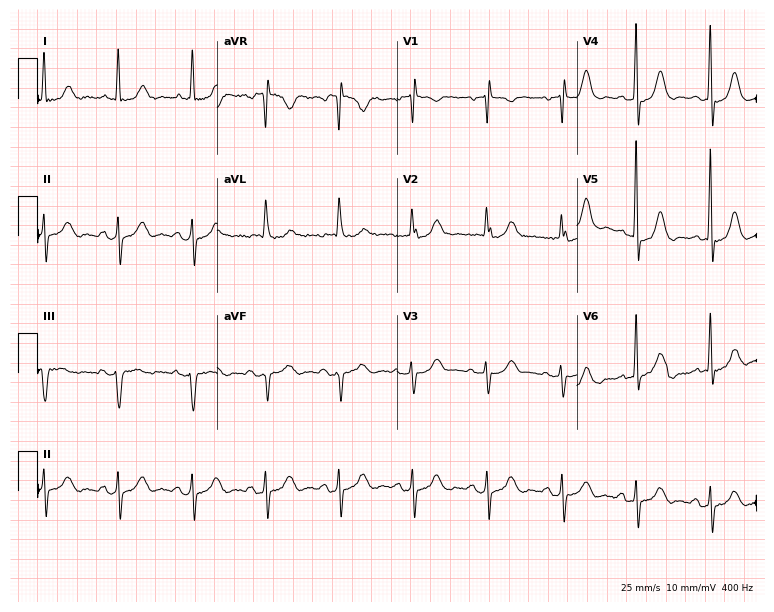
ECG — a female patient, 79 years old. Screened for six findings — first-degree AV block, right bundle branch block (RBBB), left bundle branch block (LBBB), sinus bradycardia, atrial fibrillation (AF), sinus tachycardia — none is recorded.